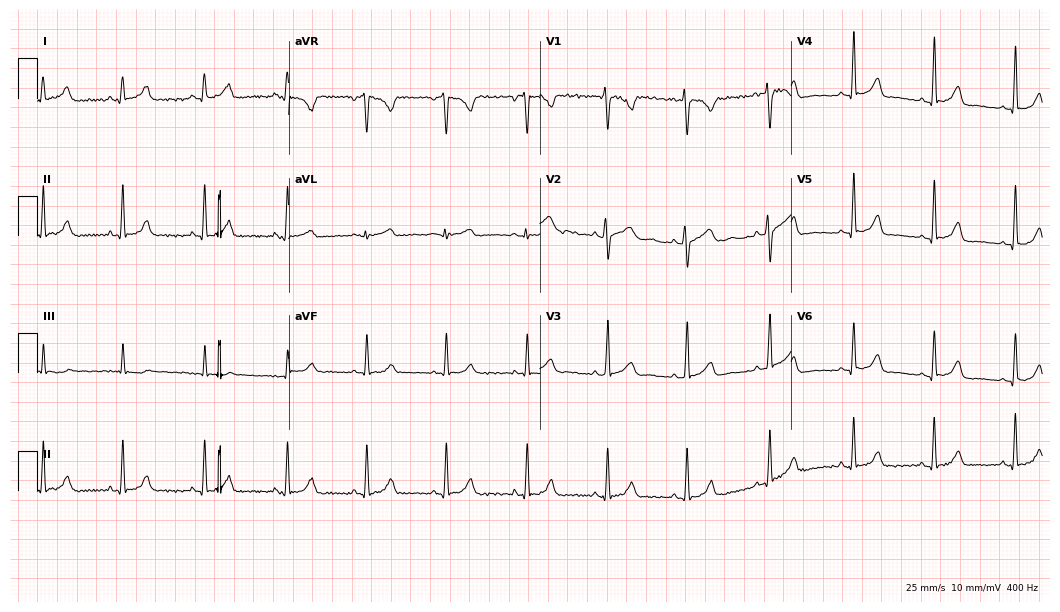
ECG (10.2-second recording at 400 Hz) — a 34-year-old female. Labelled as a normal ECG.